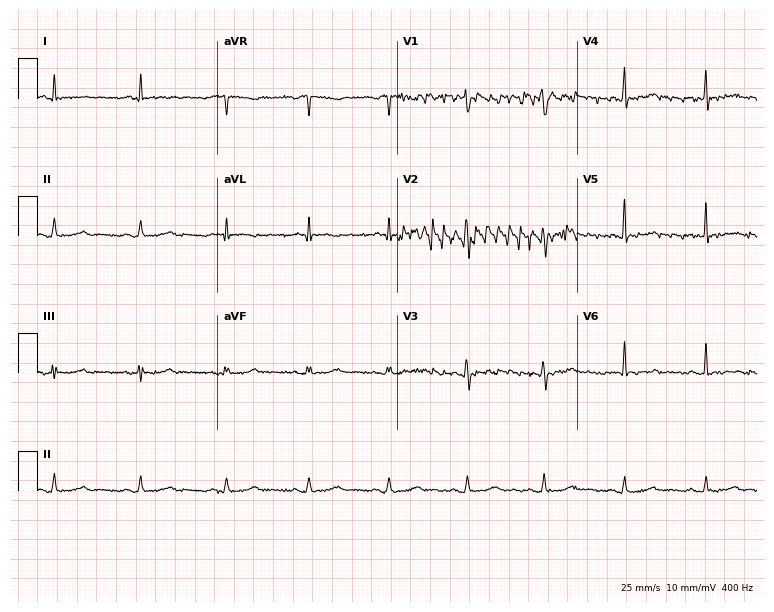
12-lead ECG from a male, 52 years old. Screened for six findings — first-degree AV block, right bundle branch block, left bundle branch block, sinus bradycardia, atrial fibrillation, sinus tachycardia — none is recorded. Findings outside these six are not listed.